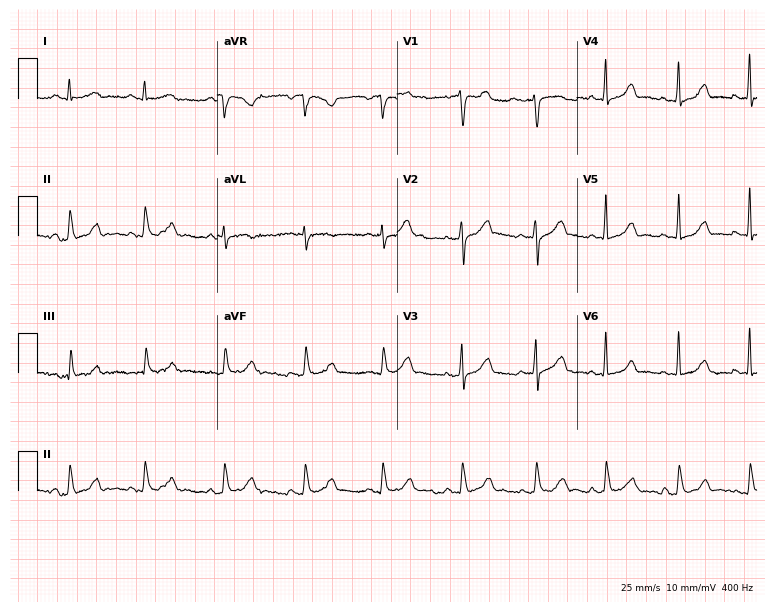
ECG (7.3-second recording at 400 Hz) — a 41-year-old woman. Labelled as a normal ECG.